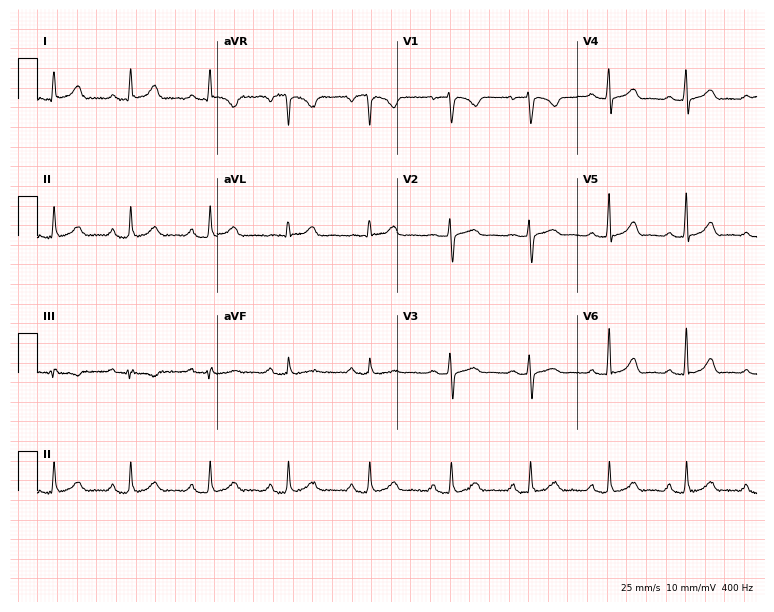
Electrocardiogram (7.3-second recording at 400 Hz), a 47-year-old female patient. Overall reading on record: normal ECG.